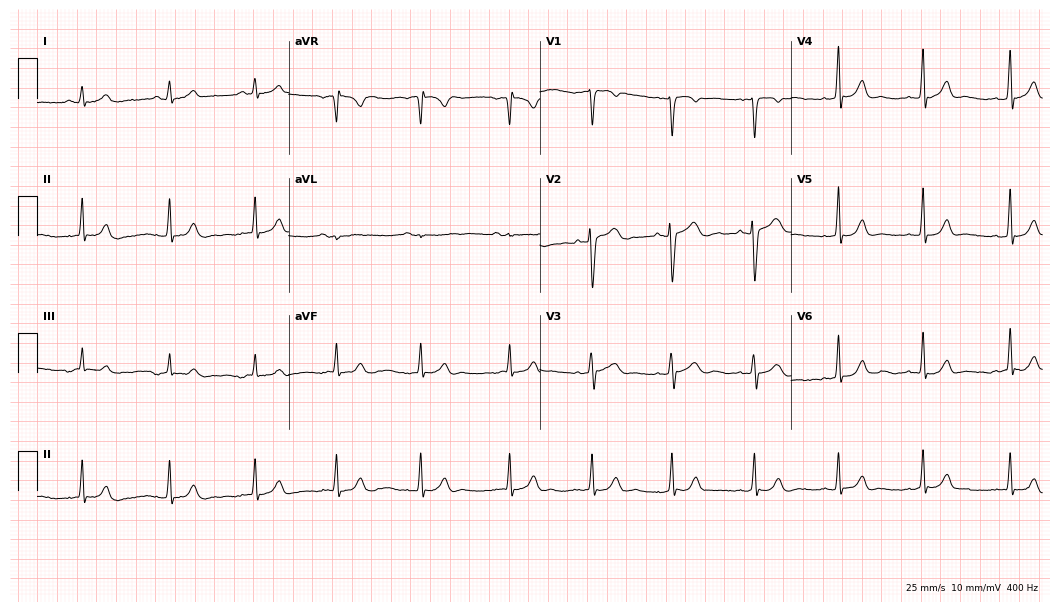
12-lead ECG from a woman, 21 years old. Labelled as a normal ECG.